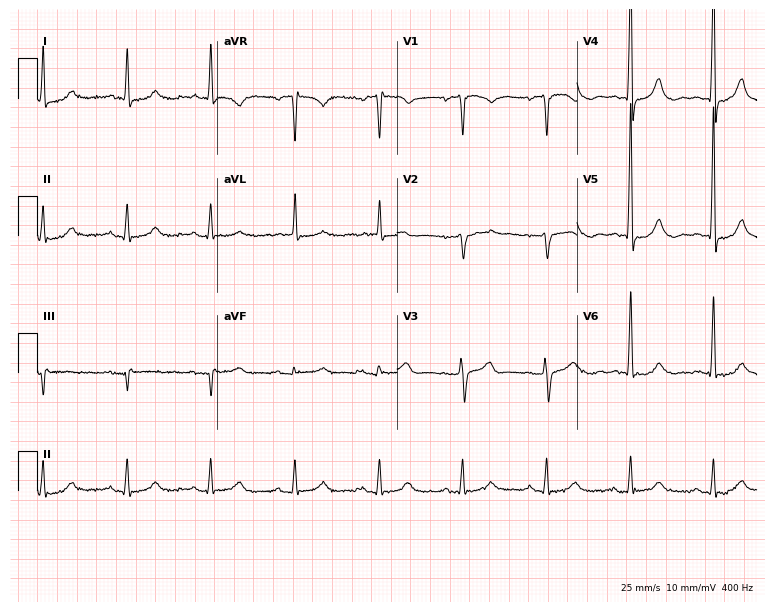
Standard 12-lead ECG recorded from a male patient, 76 years old. Read as a normal ECG.